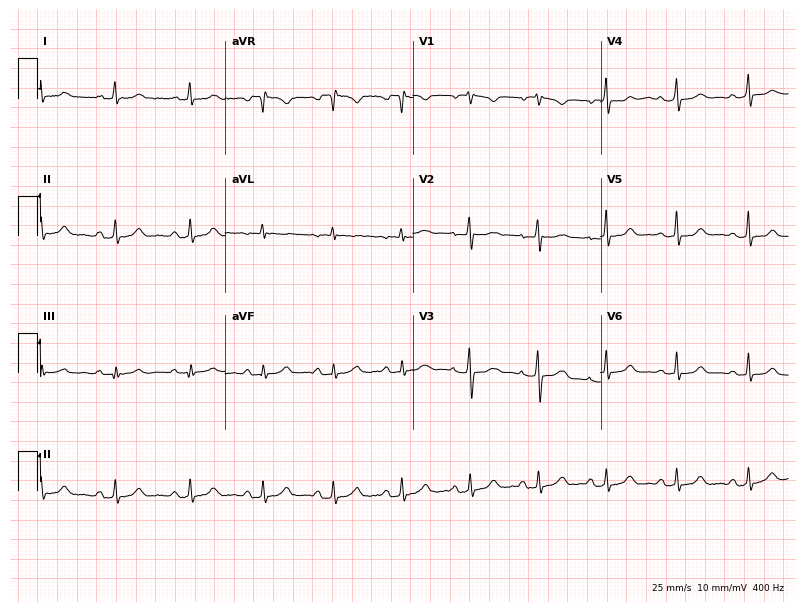
ECG — a 32-year-old woman. Labelled as a normal ECG.